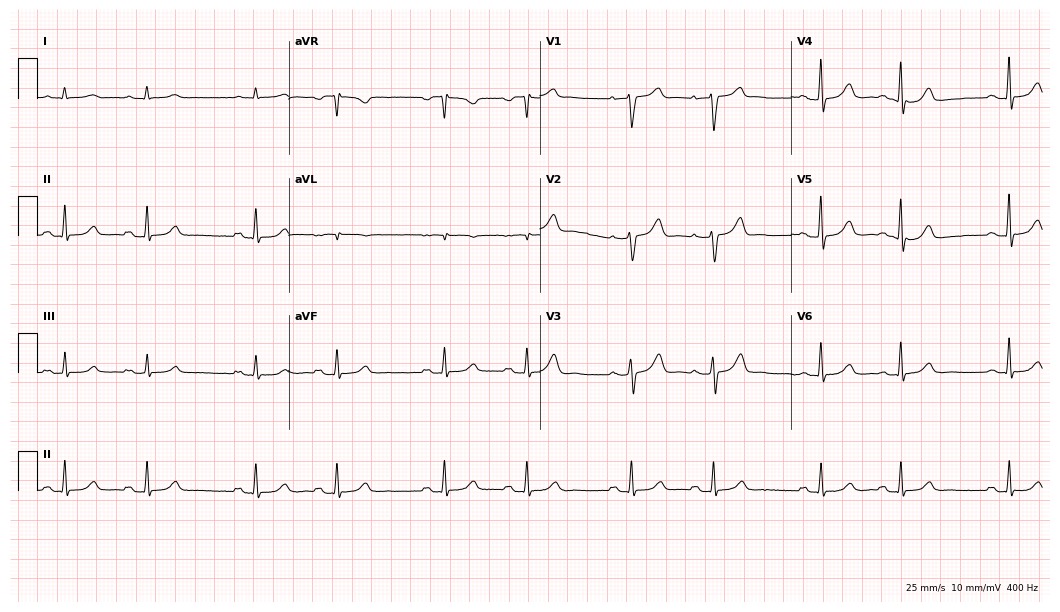
12-lead ECG from a male patient, 72 years old (10.2-second recording at 400 Hz). No first-degree AV block, right bundle branch block (RBBB), left bundle branch block (LBBB), sinus bradycardia, atrial fibrillation (AF) or sinus tachycardia recorded for this tracing.